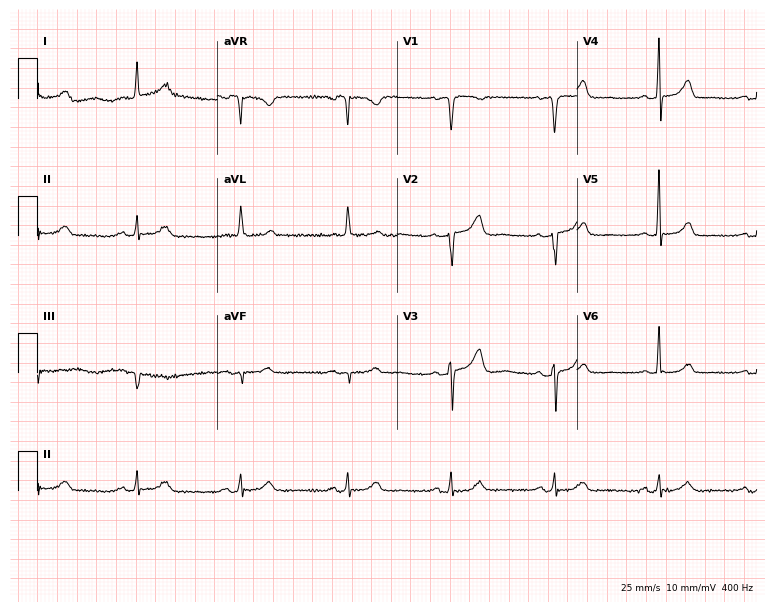
Resting 12-lead electrocardiogram. Patient: a female, 69 years old. None of these six findings is recorded: first-degree AV block, right bundle branch block, left bundle branch block, sinus bradycardia, atrial fibrillation, sinus tachycardia.